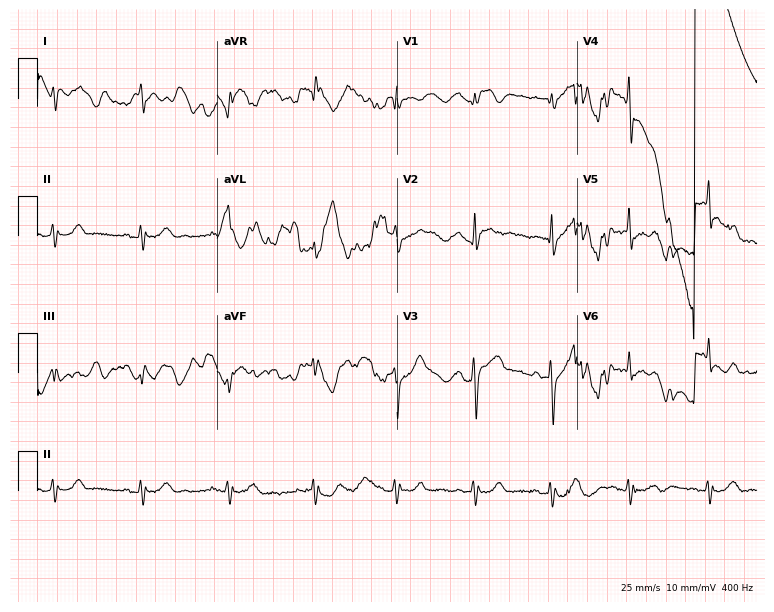
Electrocardiogram (7.3-second recording at 400 Hz), a 71-year-old man. Of the six screened findings (first-degree AV block, right bundle branch block, left bundle branch block, sinus bradycardia, atrial fibrillation, sinus tachycardia), none is recorded. Findings outside these six are not listed.